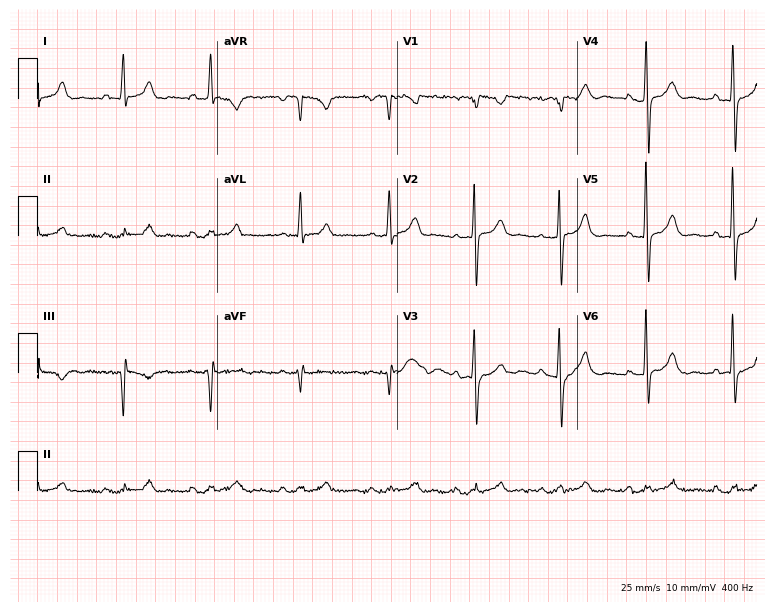
ECG (7.3-second recording at 400 Hz) — a male patient, 72 years old. Labelled as a normal ECG.